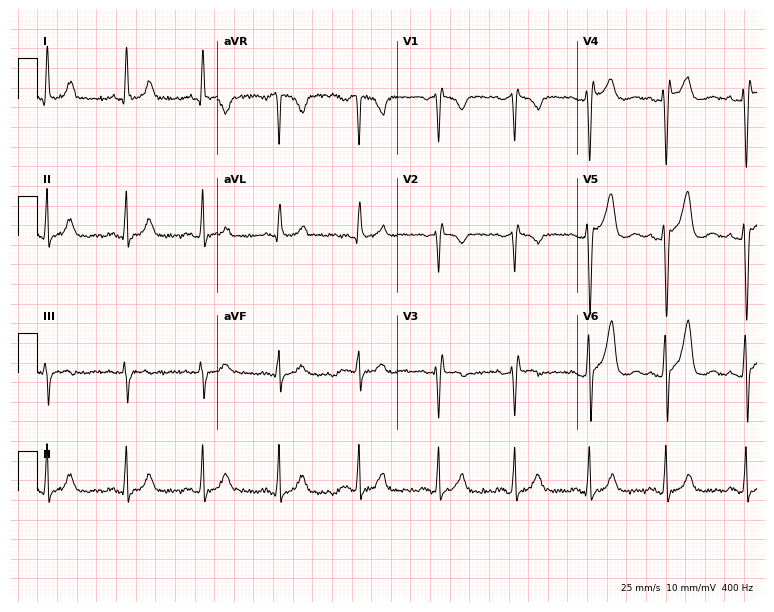
12-lead ECG (7.3-second recording at 400 Hz) from a male, 27 years old. Screened for six findings — first-degree AV block, right bundle branch block, left bundle branch block, sinus bradycardia, atrial fibrillation, sinus tachycardia — none is recorded.